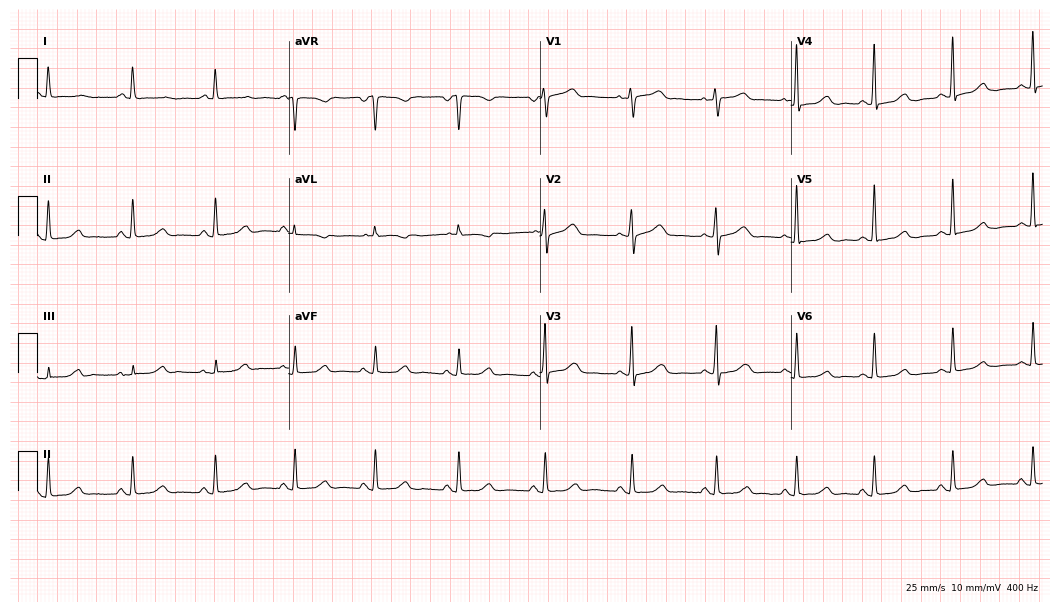
12-lead ECG from a 62-year-old woman. No first-degree AV block, right bundle branch block (RBBB), left bundle branch block (LBBB), sinus bradycardia, atrial fibrillation (AF) or sinus tachycardia recorded for this tracing.